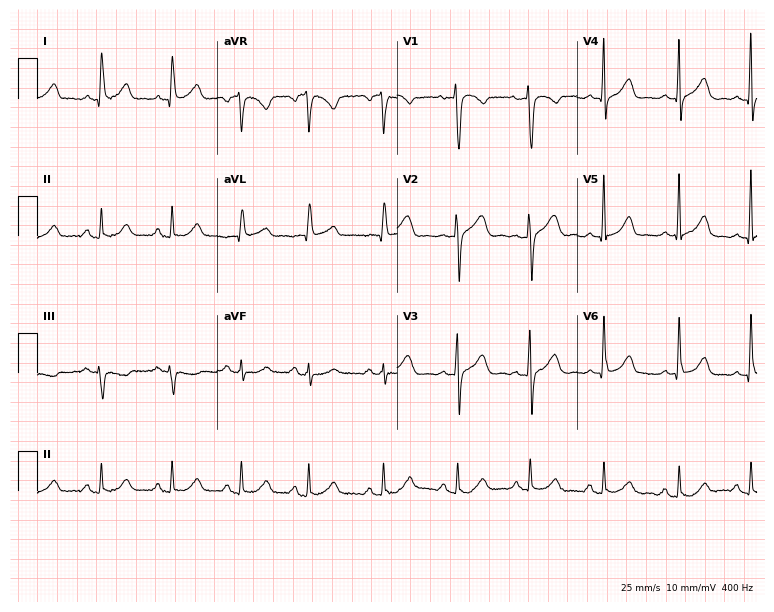
12-lead ECG from a female patient, 52 years old. Recorded interpretation: within normal limits.